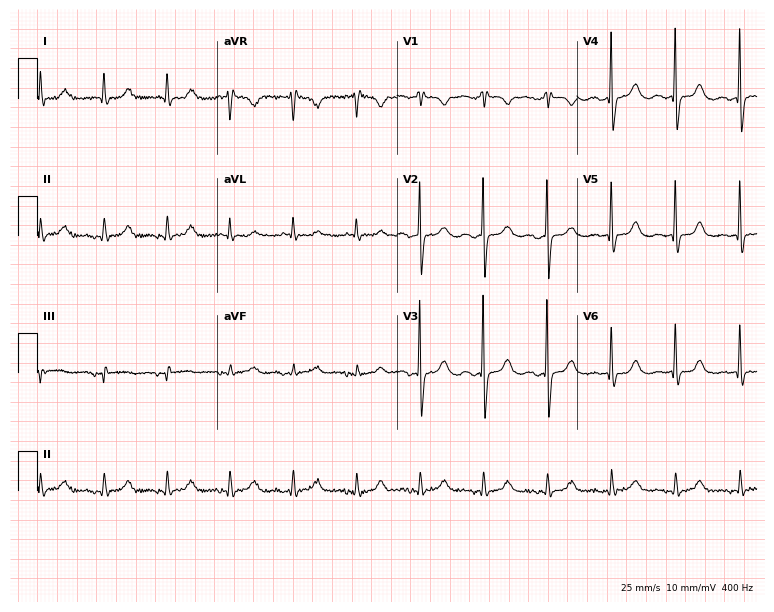
Electrocardiogram, a 78-year-old female. Of the six screened findings (first-degree AV block, right bundle branch block (RBBB), left bundle branch block (LBBB), sinus bradycardia, atrial fibrillation (AF), sinus tachycardia), none is recorded.